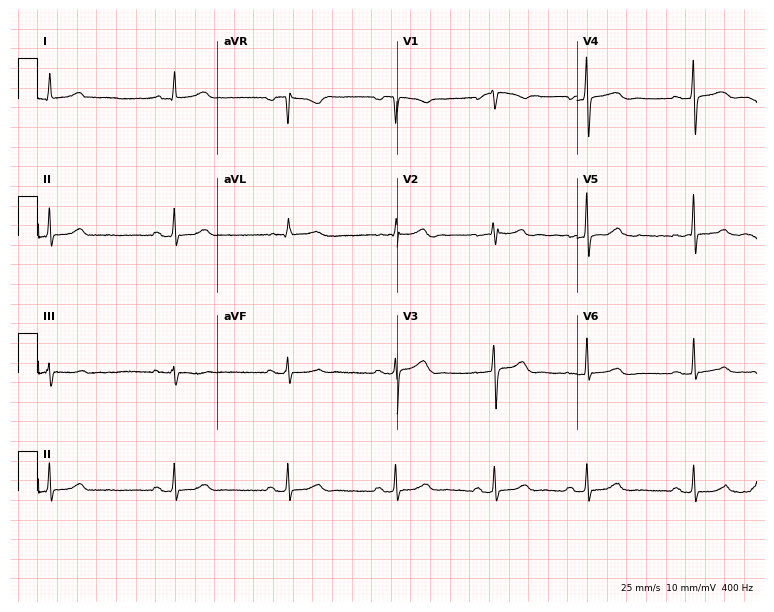
Electrocardiogram (7.3-second recording at 400 Hz), a woman, 38 years old. Overall reading on record: normal ECG.